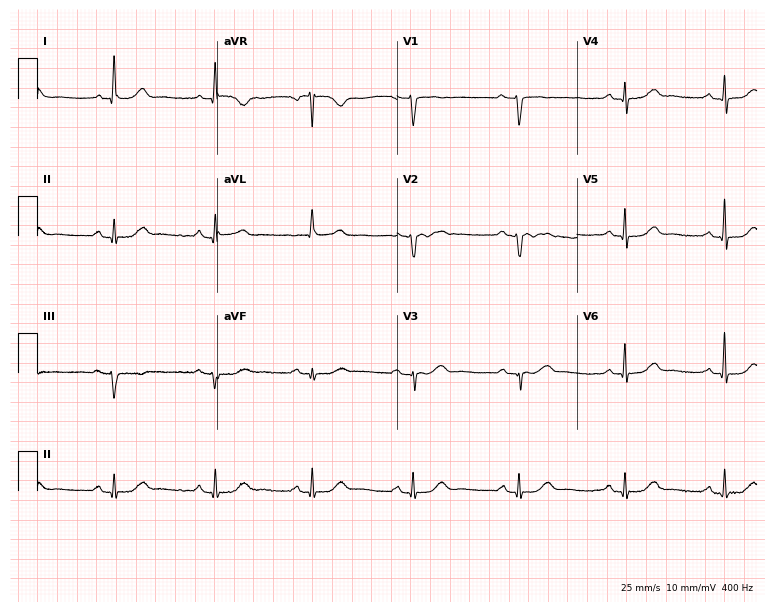
ECG — a 70-year-old female. Screened for six findings — first-degree AV block, right bundle branch block, left bundle branch block, sinus bradycardia, atrial fibrillation, sinus tachycardia — none is recorded. Other findings, if any, are not listed.